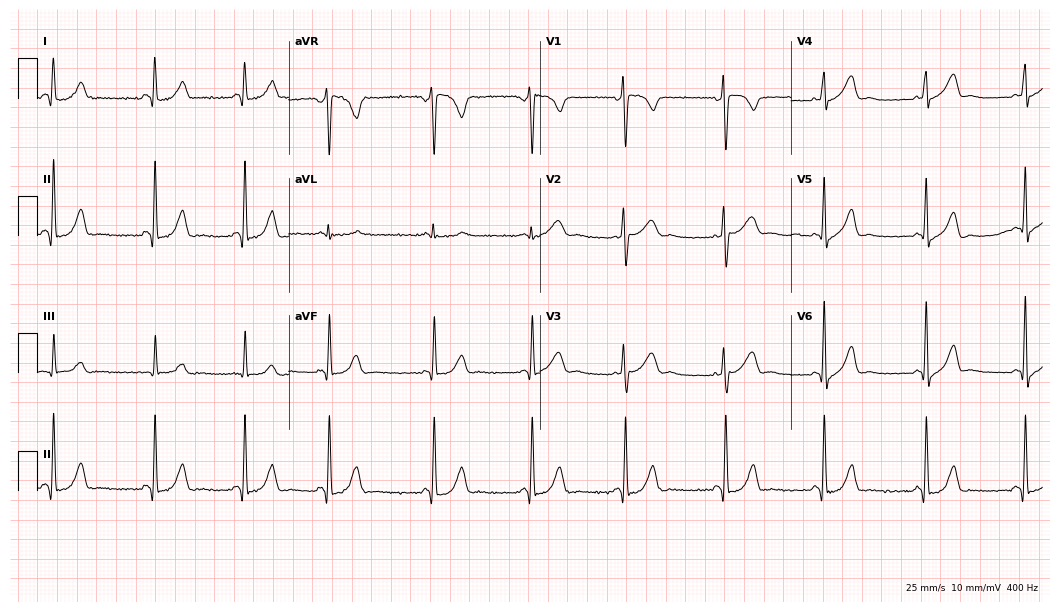
Electrocardiogram (10.2-second recording at 400 Hz), a female, 27 years old. Overall reading on record: normal ECG.